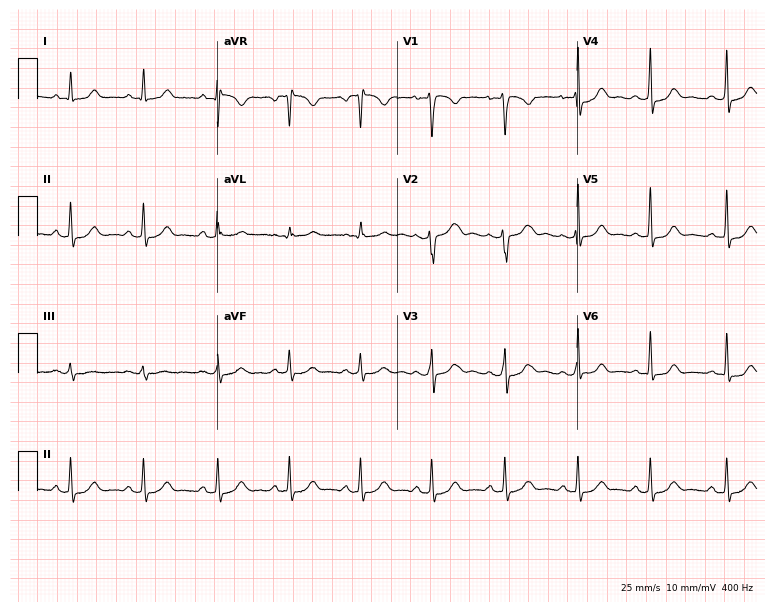
12-lead ECG from a woman, 20 years old (7.3-second recording at 400 Hz). Recorded interpretation: within normal limits.